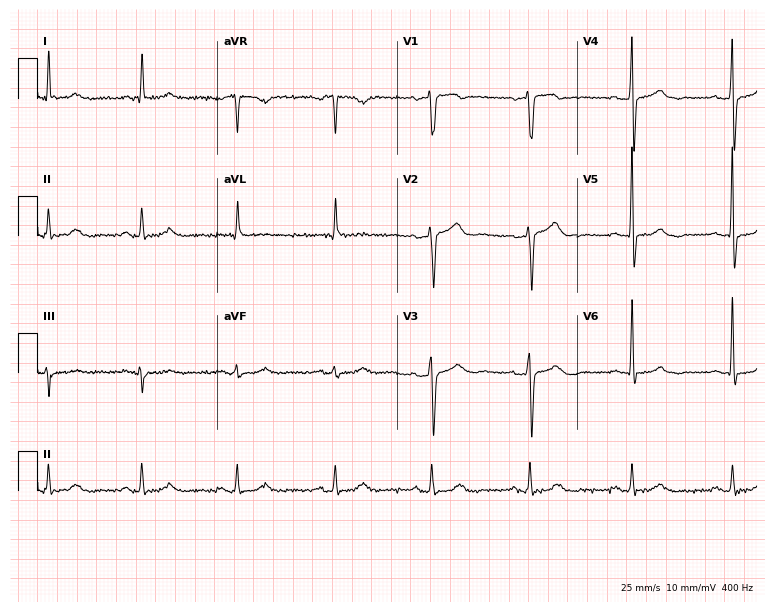
12-lead ECG (7.3-second recording at 400 Hz) from a woman, 76 years old. Screened for six findings — first-degree AV block, right bundle branch block, left bundle branch block, sinus bradycardia, atrial fibrillation, sinus tachycardia — none is recorded. Findings outside these six are not listed.